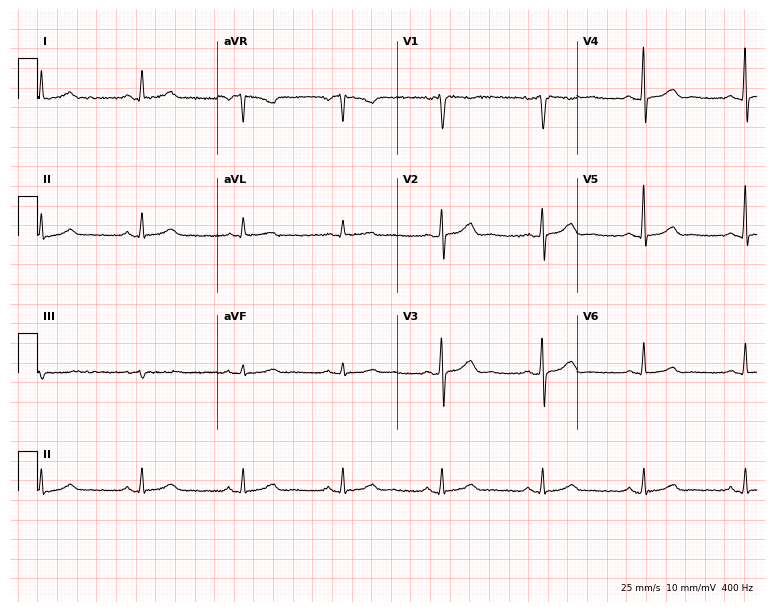
ECG — a female patient, 65 years old. Labelled as a normal ECG.